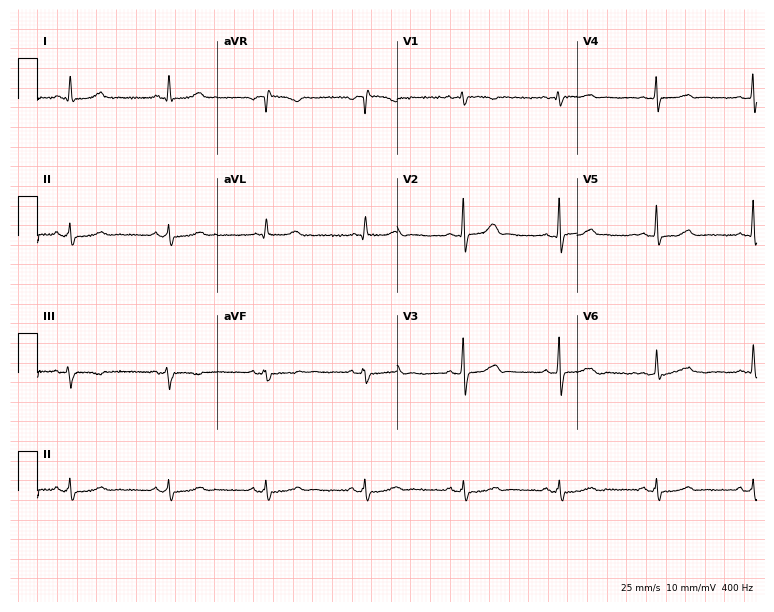
12-lead ECG (7.3-second recording at 400 Hz) from a 56-year-old female patient. Labelled as a normal ECG.